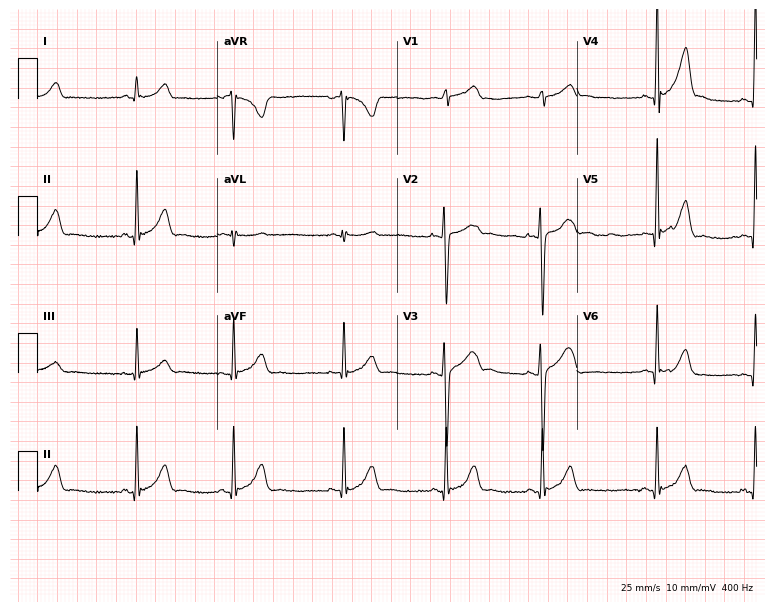
Standard 12-lead ECG recorded from an 18-year-old male (7.3-second recording at 400 Hz). None of these six findings is recorded: first-degree AV block, right bundle branch block, left bundle branch block, sinus bradycardia, atrial fibrillation, sinus tachycardia. Findings outside these six are not listed.